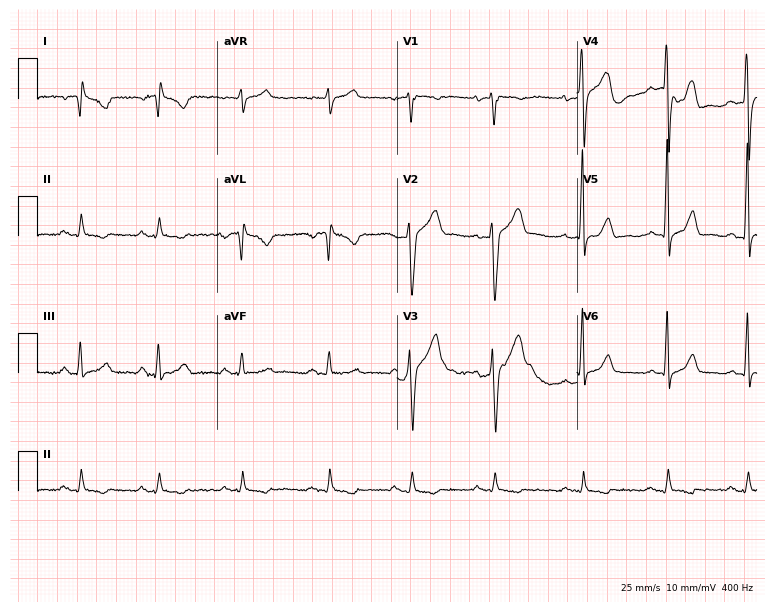
ECG (7.3-second recording at 400 Hz) — a man, 36 years old. Screened for six findings — first-degree AV block, right bundle branch block (RBBB), left bundle branch block (LBBB), sinus bradycardia, atrial fibrillation (AF), sinus tachycardia — none is recorded. Only these six findings were labelled.